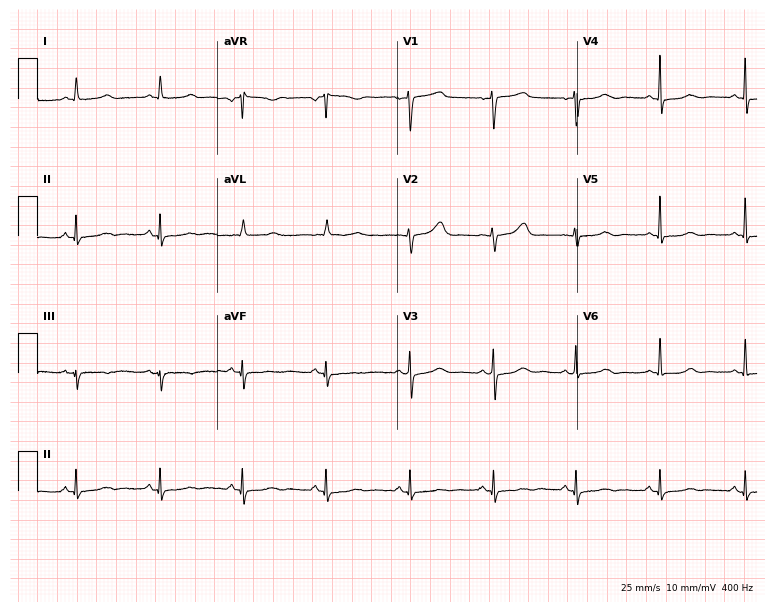
Electrocardiogram (7.3-second recording at 400 Hz), a 60-year-old female patient. Overall reading on record: normal ECG.